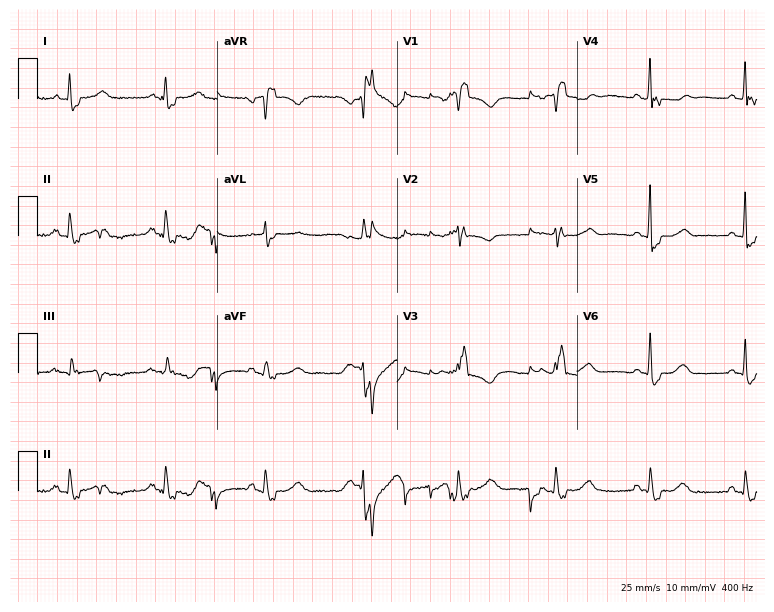
12-lead ECG from a 75-year-old female patient. No first-degree AV block, right bundle branch block (RBBB), left bundle branch block (LBBB), sinus bradycardia, atrial fibrillation (AF) or sinus tachycardia recorded for this tracing. Findings outside these six are not listed.